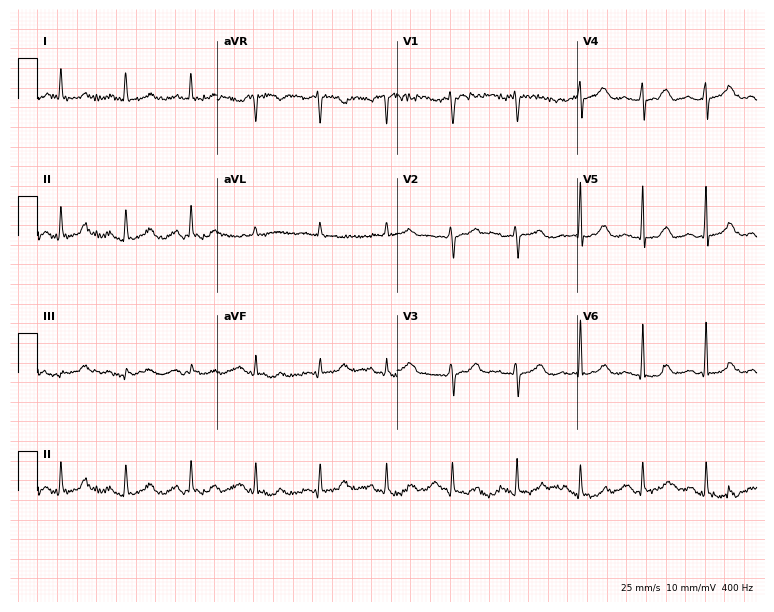
Standard 12-lead ECG recorded from a 58-year-old female. Read as a normal ECG.